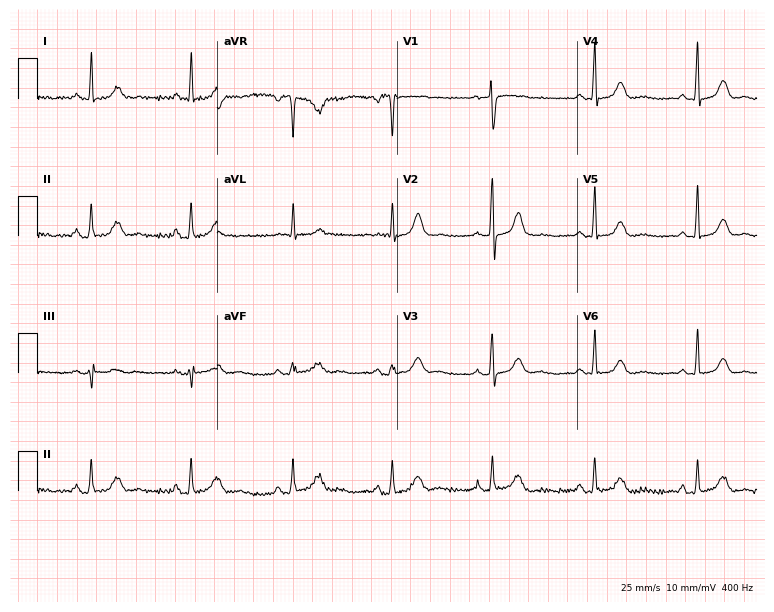
Resting 12-lead electrocardiogram (7.3-second recording at 400 Hz). Patient: a 60-year-old woman. Read as a normal ECG.